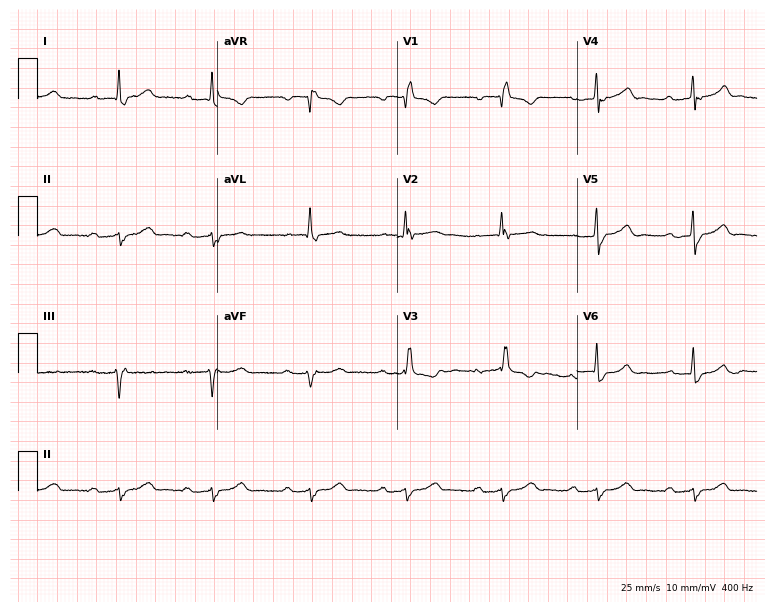
Electrocardiogram, a 72-year-old male patient. Of the six screened findings (first-degree AV block, right bundle branch block (RBBB), left bundle branch block (LBBB), sinus bradycardia, atrial fibrillation (AF), sinus tachycardia), none is recorded.